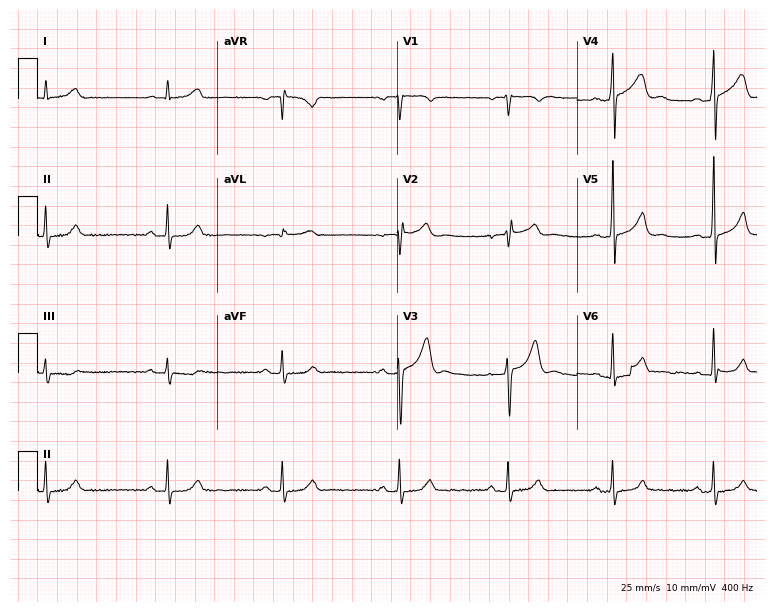
Standard 12-lead ECG recorded from a male, 33 years old. None of these six findings is recorded: first-degree AV block, right bundle branch block (RBBB), left bundle branch block (LBBB), sinus bradycardia, atrial fibrillation (AF), sinus tachycardia.